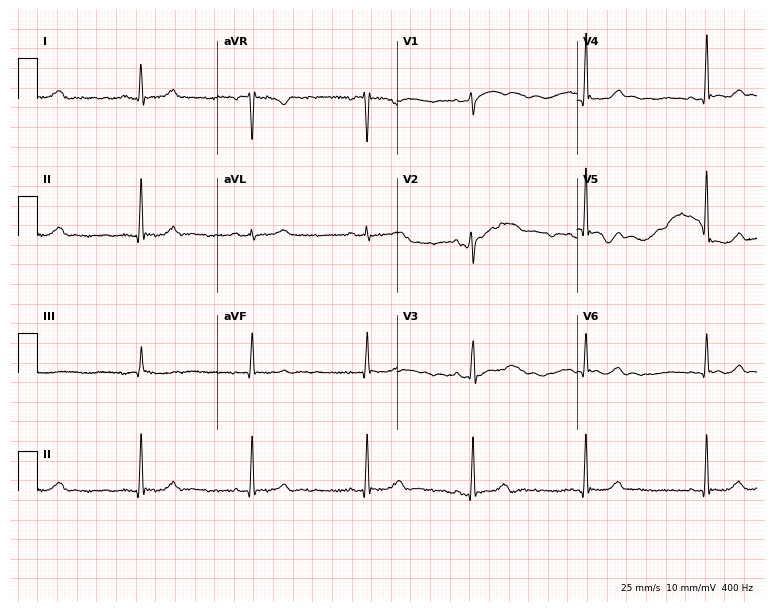
12-lead ECG from a 32-year-old female. Recorded interpretation: within normal limits.